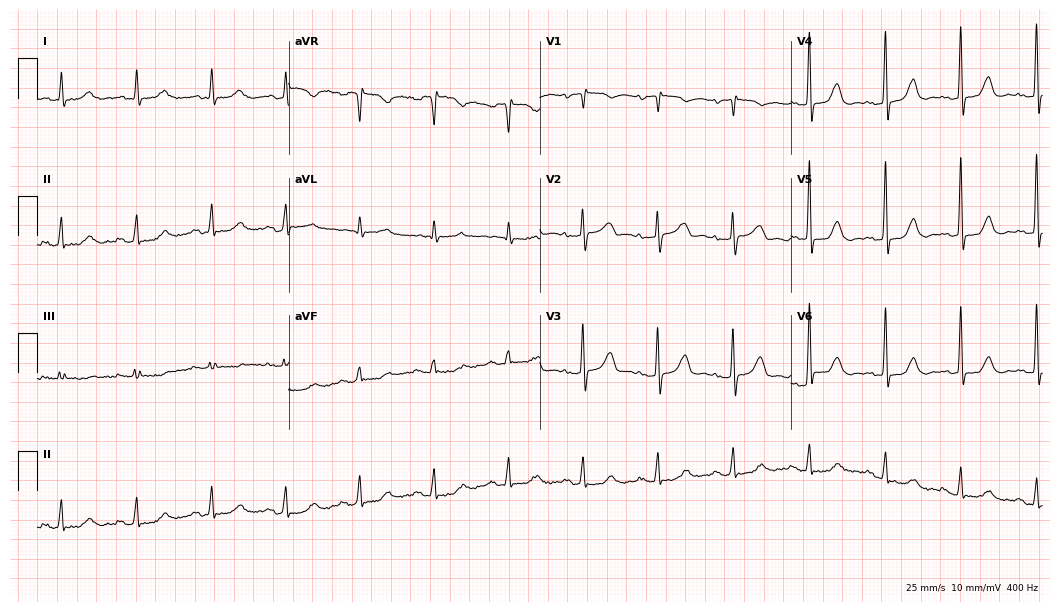
Resting 12-lead electrocardiogram (10.2-second recording at 400 Hz). Patient: a female, 71 years old. None of these six findings is recorded: first-degree AV block, right bundle branch block, left bundle branch block, sinus bradycardia, atrial fibrillation, sinus tachycardia. Other findings, if any, are not listed.